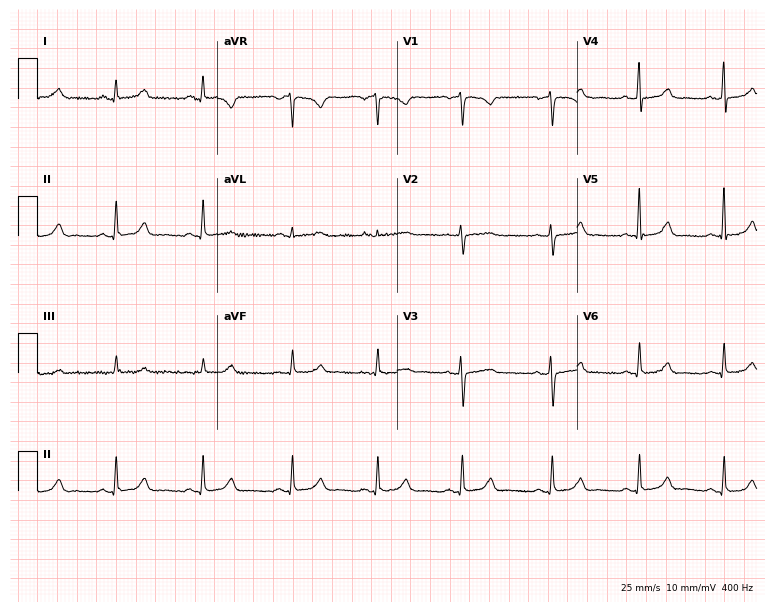
12-lead ECG (7.3-second recording at 400 Hz) from a woman, 25 years old. Labelled as a normal ECG.